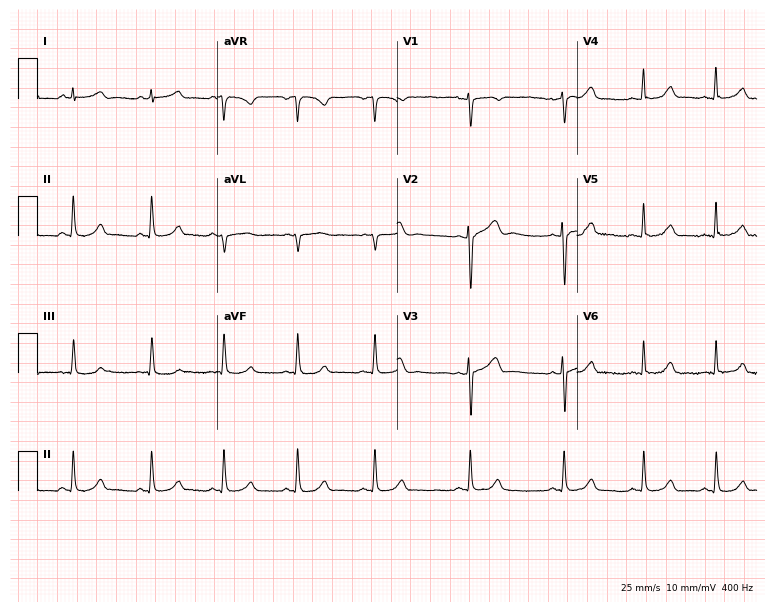
12-lead ECG from a female patient, 21 years old. Recorded interpretation: within normal limits.